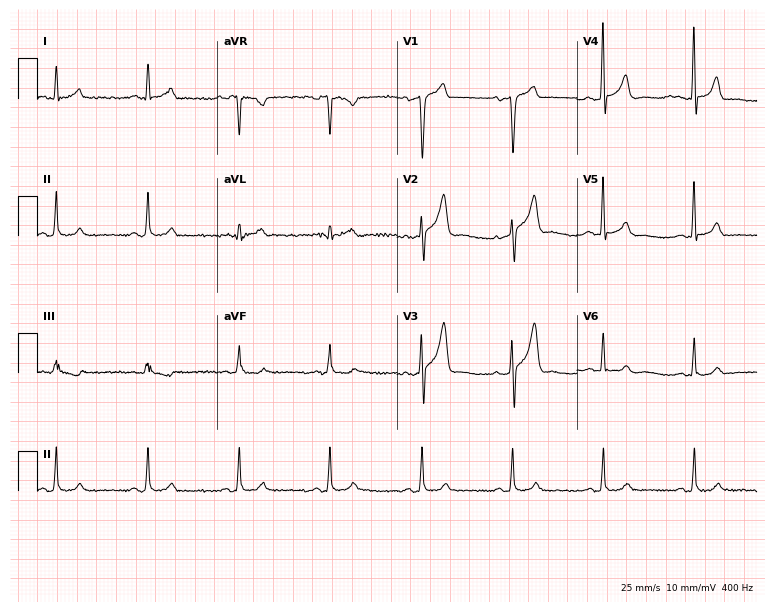
12-lead ECG from a male, 71 years old. Labelled as a normal ECG.